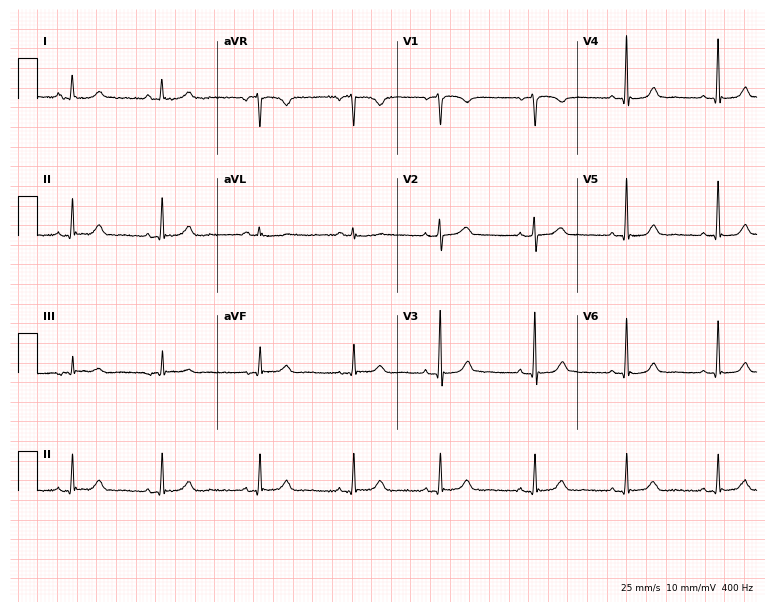
Electrocardiogram, a 43-year-old woman. Overall reading on record: normal ECG.